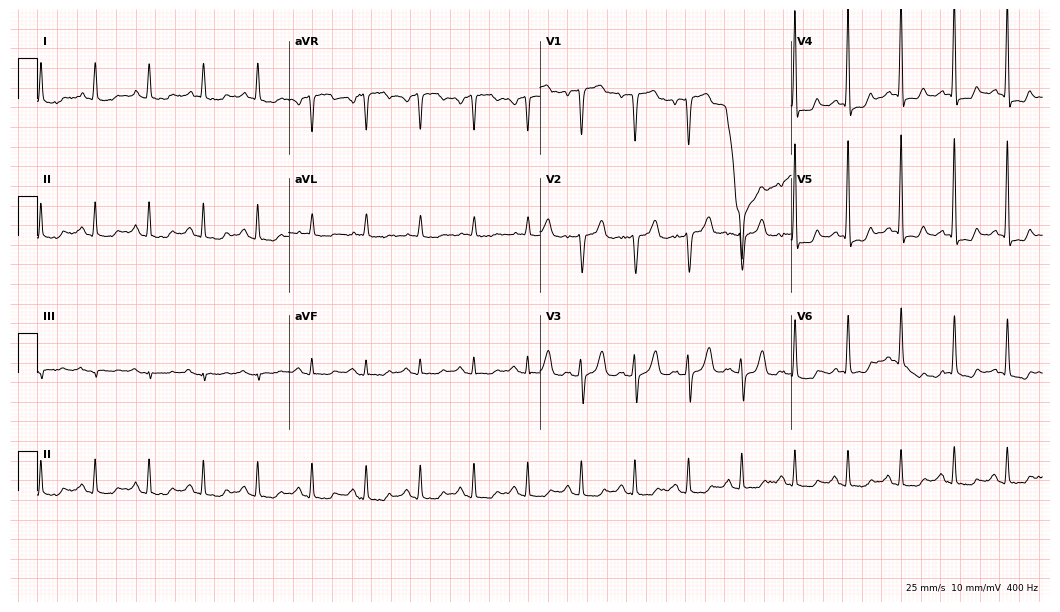
Resting 12-lead electrocardiogram (10.2-second recording at 400 Hz). Patient: a woman, 71 years old. The tracing shows sinus tachycardia (a sinus rate of 100 beats per minute or more).